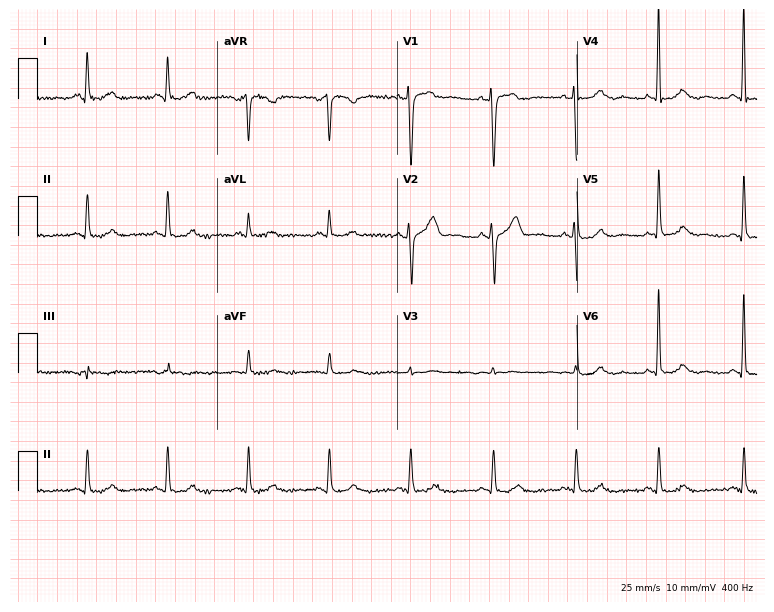
12-lead ECG from a male, 56 years old. Labelled as a normal ECG.